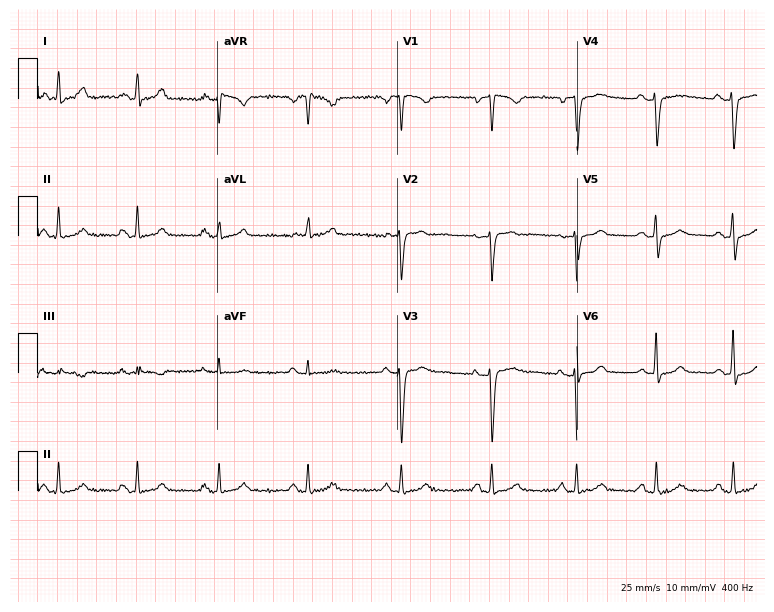
12-lead ECG (7.3-second recording at 400 Hz) from a 40-year-old female. Screened for six findings — first-degree AV block, right bundle branch block, left bundle branch block, sinus bradycardia, atrial fibrillation, sinus tachycardia — none is recorded.